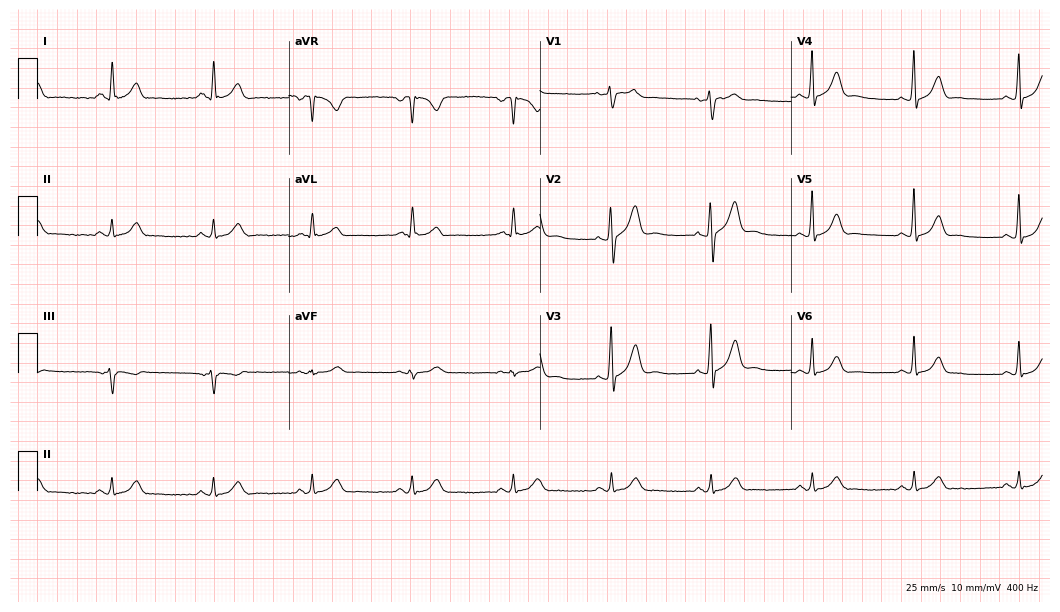
ECG — a man, 55 years old. Labelled as a normal ECG.